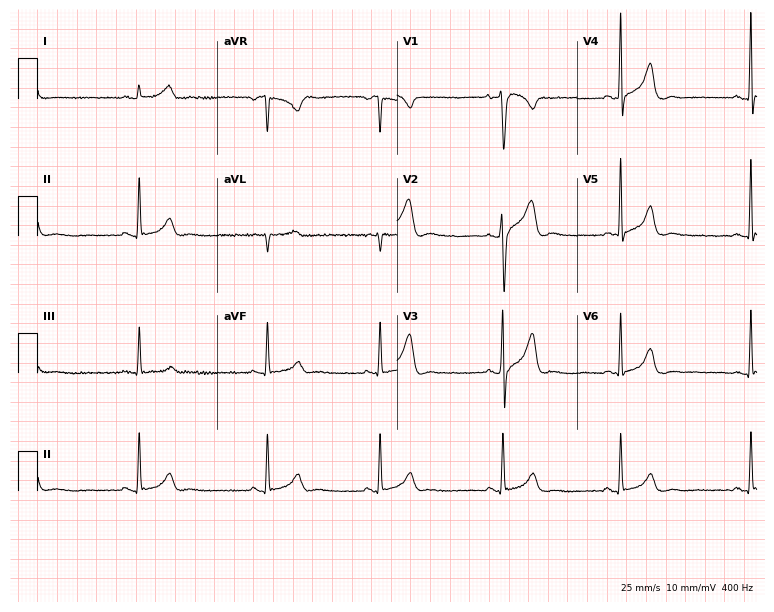
12-lead ECG from a 45-year-old man. Recorded interpretation: within normal limits.